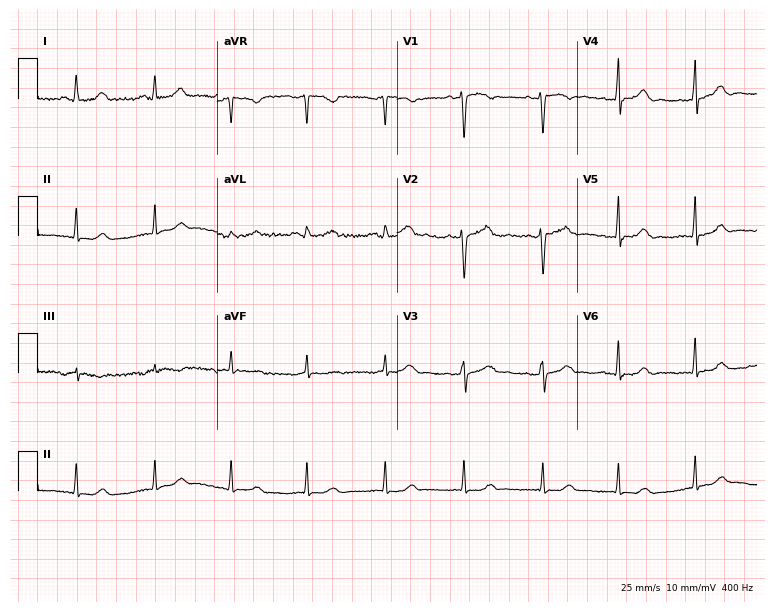
12-lead ECG from a female patient, 38 years old. Labelled as a normal ECG.